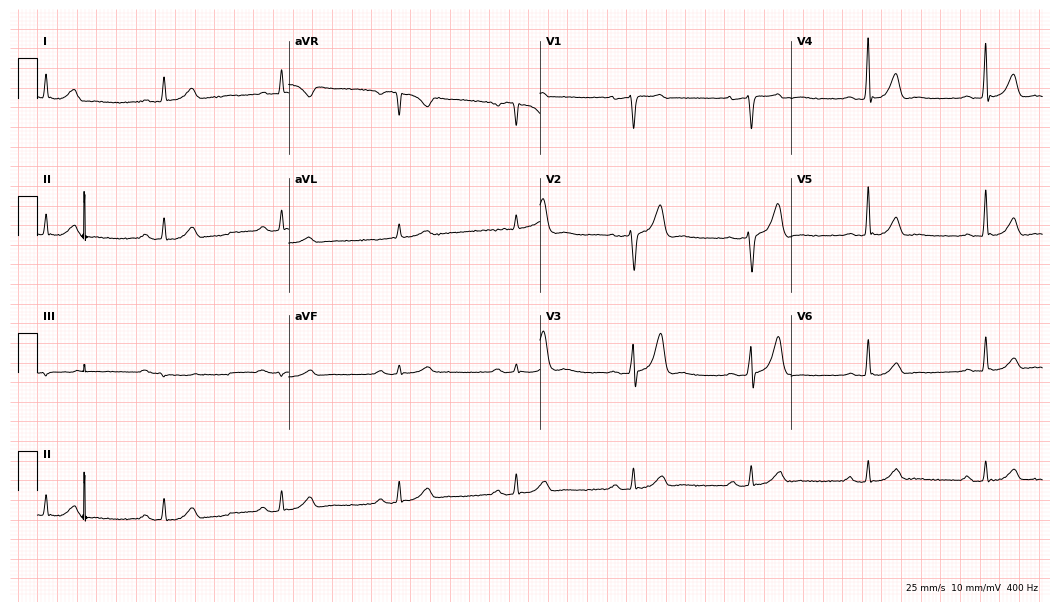
Resting 12-lead electrocardiogram (10.2-second recording at 400 Hz). Patient: a man, 68 years old. None of these six findings is recorded: first-degree AV block, right bundle branch block, left bundle branch block, sinus bradycardia, atrial fibrillation, sinus tachycardia. Other findings, if any, are not listed.